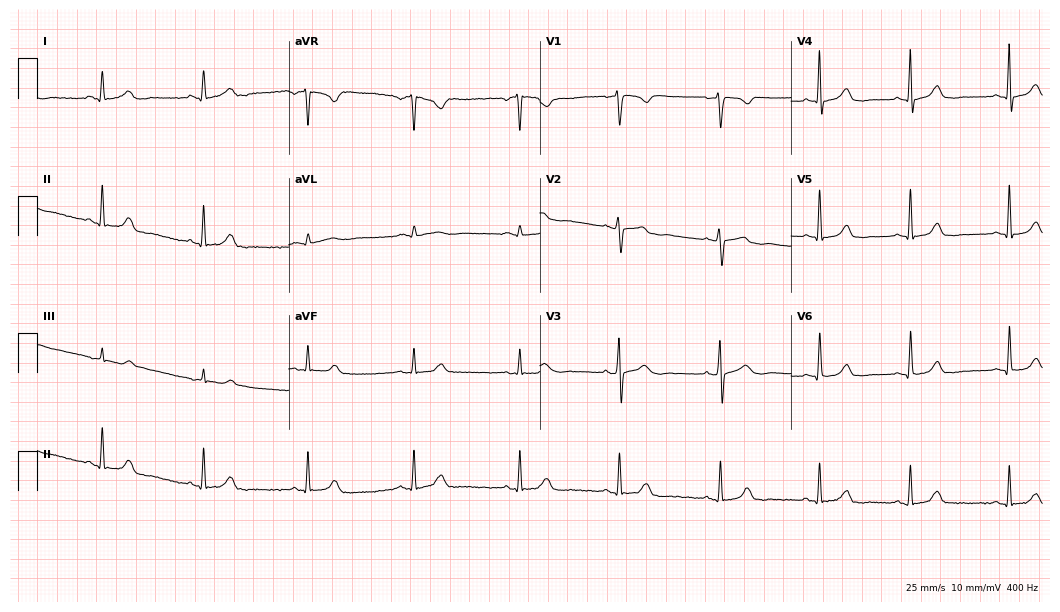
Standard 12-lead ECG recorded from a female, 47 years old. Read as a normal ECG.